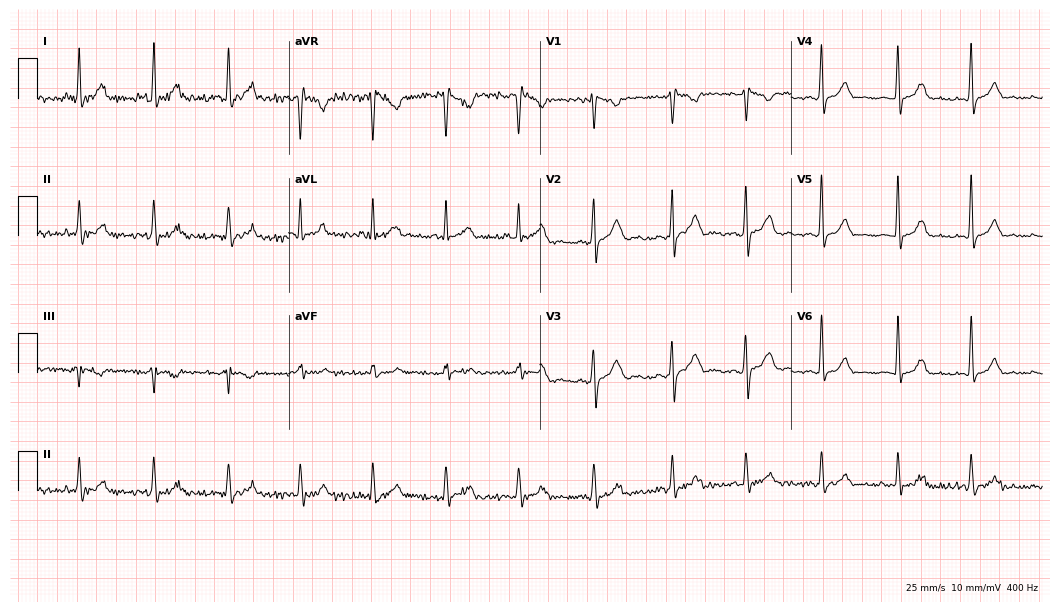
12-lead ECG from a female, 33 years old. Labelled as a normal ECG.